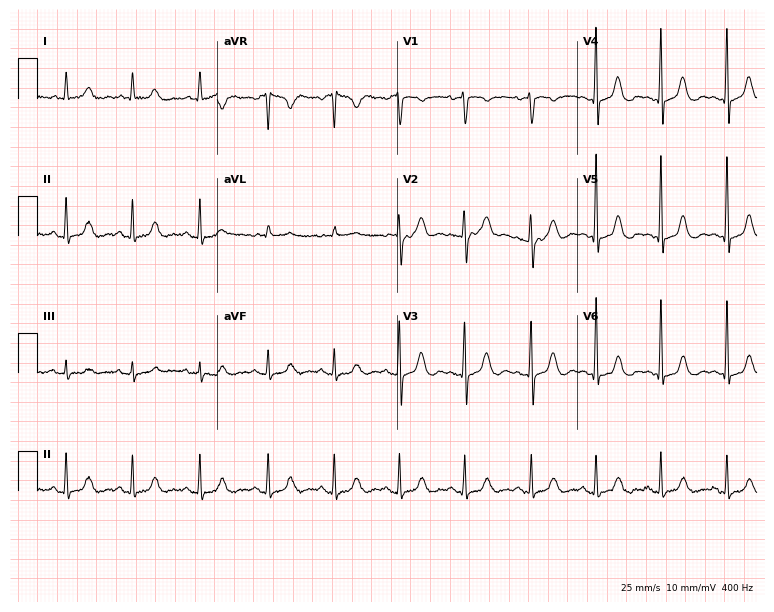
ECG — a 63-year-old female. Screened for six findings — first-degree AV block, right bundle branch block, left bundle branch block, sinus bradycardia, atrial fibrillation, sinus tachycardia — none is recorded.